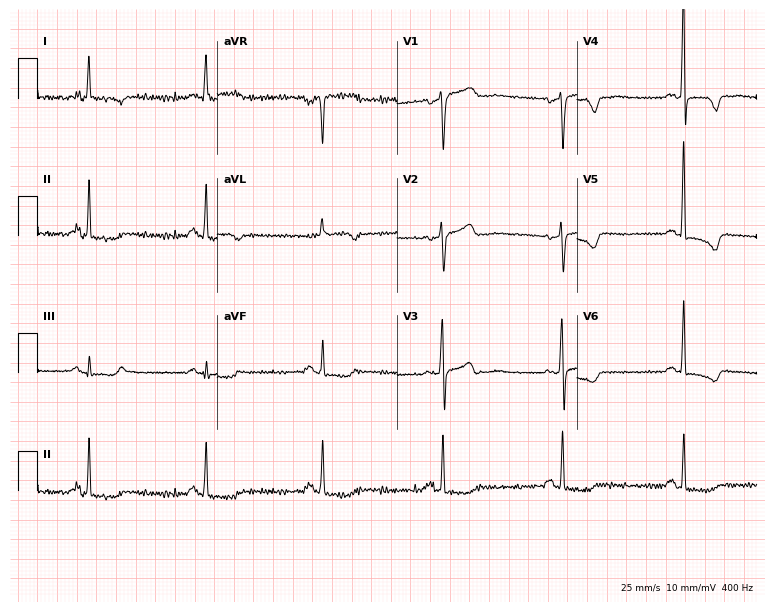
Resting 12-lead electrocardiogram. Patient: a 57-year-old female. None of these six findings is recorded: first-degree AV block, right bundle branch block (RBBB), left bundle branch block (LBBB), sinus bradycardia, atrial fibrillation (AF), sinus tachycardia. Only these six findings were labelled.